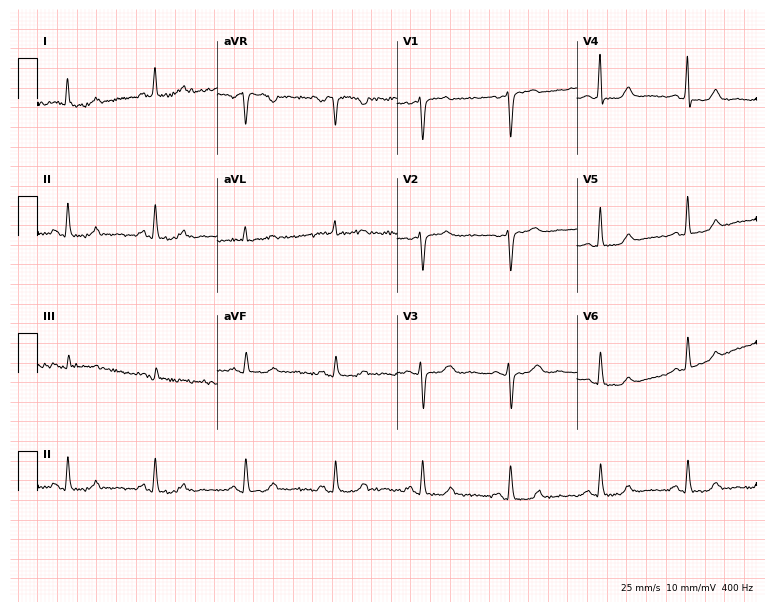
Electrocardiogram, a 47-year-old woman. Of the six screened findings (first-degree AV block, right bundle branch block, left bundle branch block, sinus bradycardia, atrial fibrillation, sinus tachycardia), none is recorded.